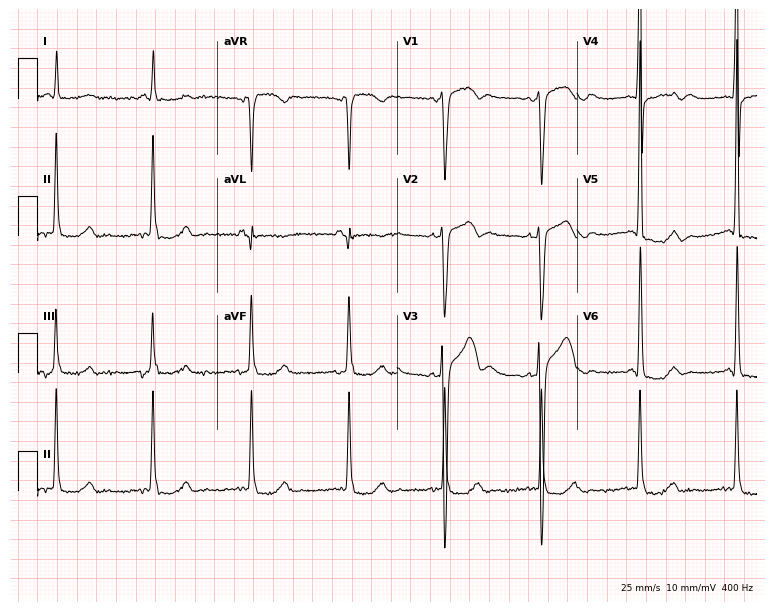
ECG — a male, 49 years old. Screened for six findings — first-degree AV block, right bundle branch block (RBBB), left bundle branch block (LBBB), sinus bradycardia, atrial fibrillation (AF), sinus tachycardia — none is recorded. Findings outside these six are not listed.